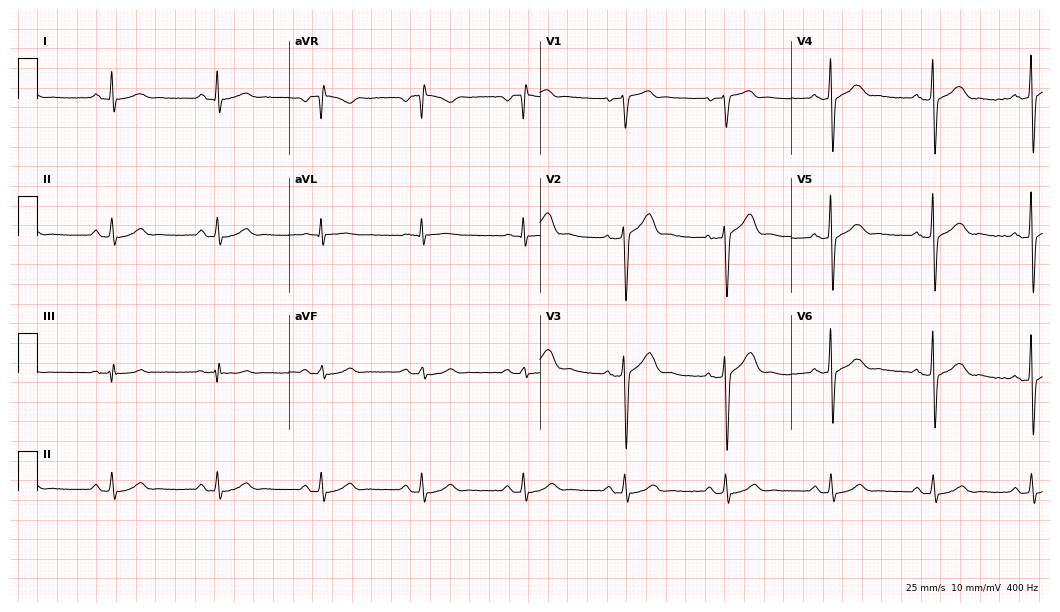
12-lead ECG (10.2-second recording at 400 Hz) from a male patient, 42 years old. Screened for six findings — first-degree AV block, right bundle branch block (RBBB), left bundle branch block (LBBB), sinus bradycardia, atrial fibrillation (AF), sinus tachycardia — none is recorded.